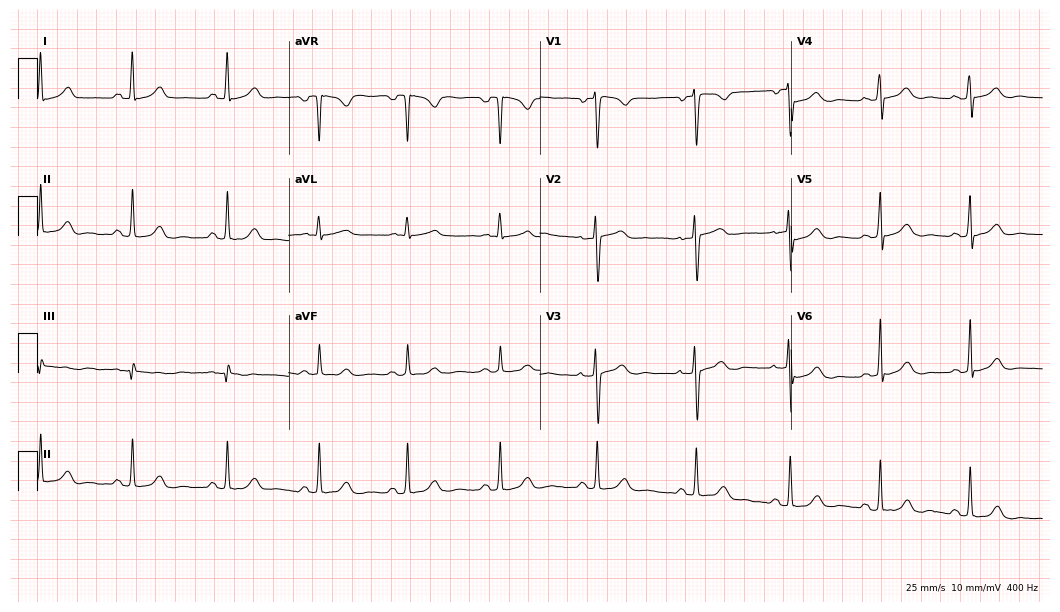
Standard 12-lead ECG recorded from a woman, 39 years old. Read as a normal ECG.